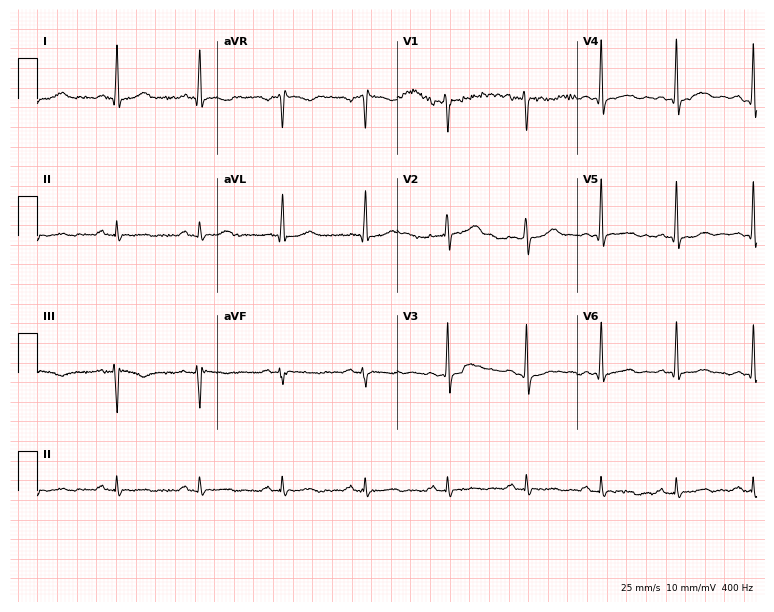
12-lead ECG from a 43-year-old man. Recorded interpretation: within normal limits.